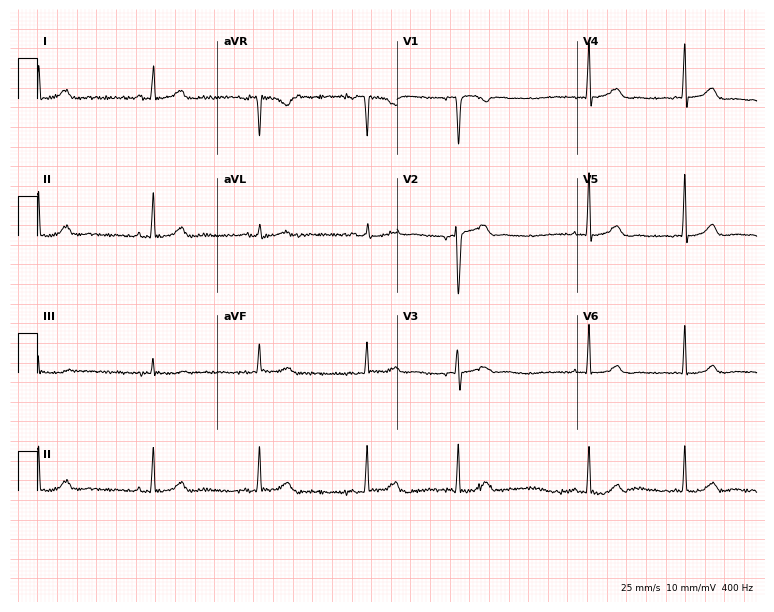
12-lead ECG from a 55-year-old female patient. Recorded interpretation: within normal limits.